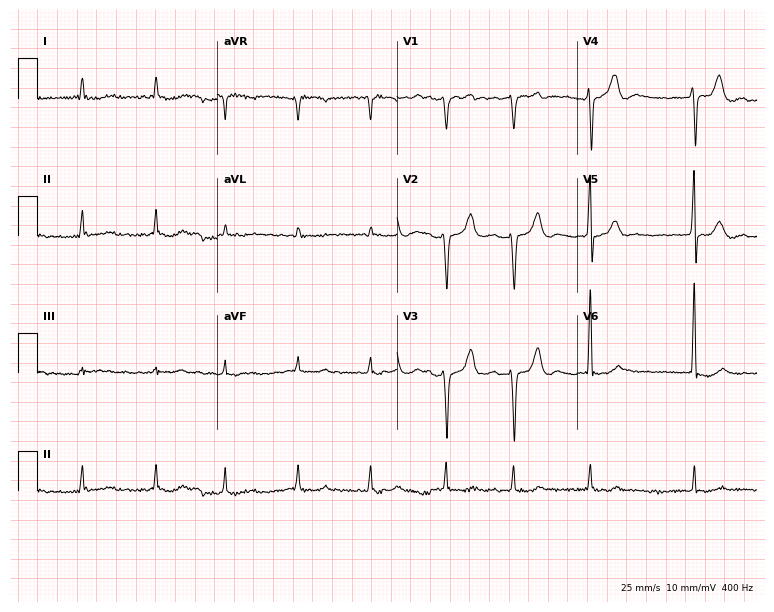
12-lead ECG from a 73-year-old male patient. Labelled as a normal ECG.